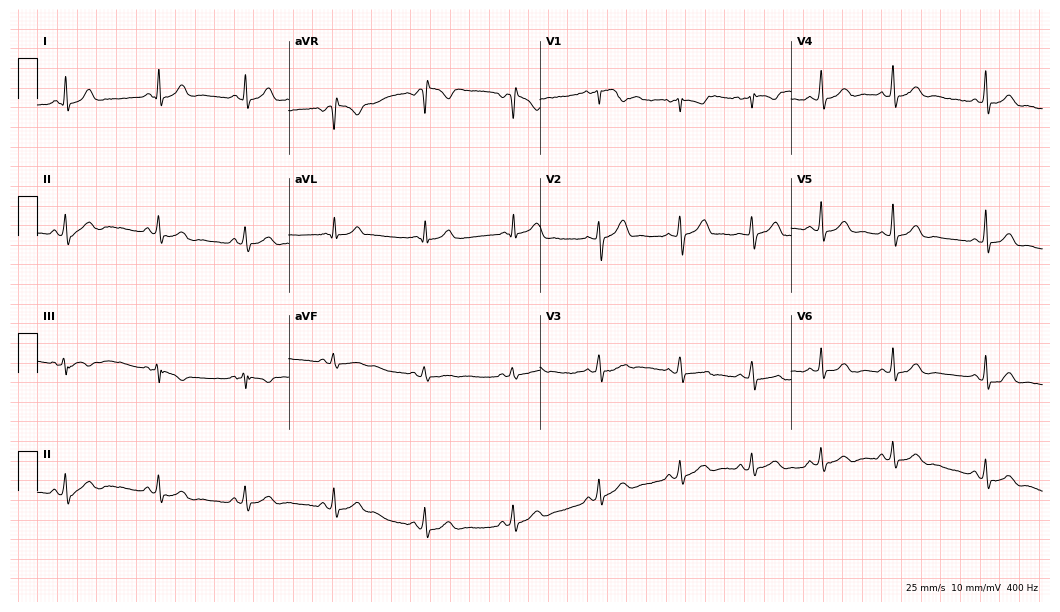
ECG (10.2-second recording at 400 Hz) — a female, 24 years old. Labelled as a normal ECG.